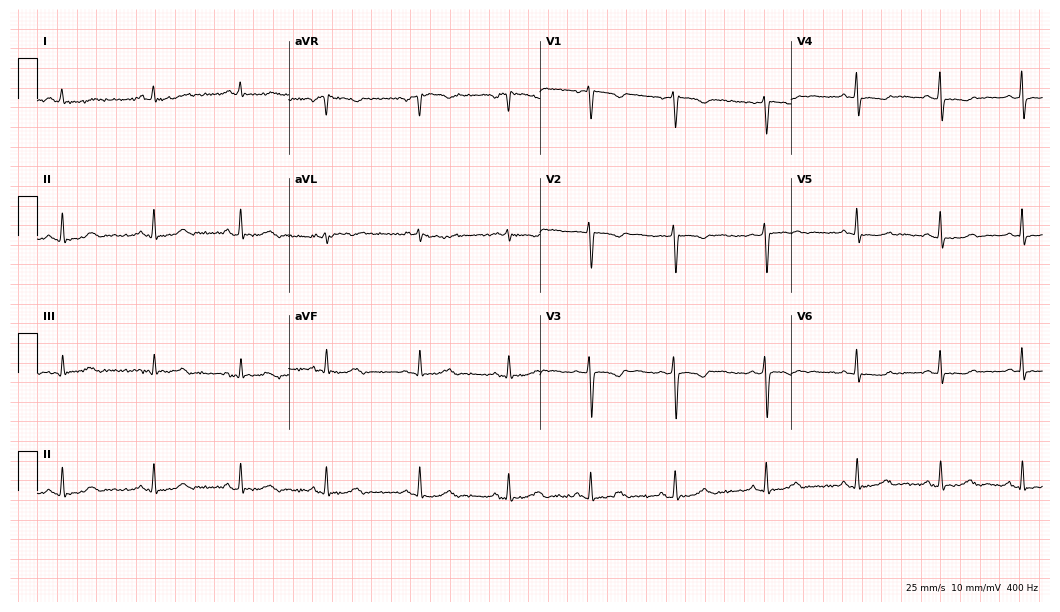
Electrocardiogram, a 35-year-old female. Of the six screened findings (first-degree AV block, right bundle branch block (RBBB), left bundle branch block (LBBB), sinus bradycardia, atrial fibrillation (AF), sinus tachycardia), none is recorded. Other findings, if any, are not listed.